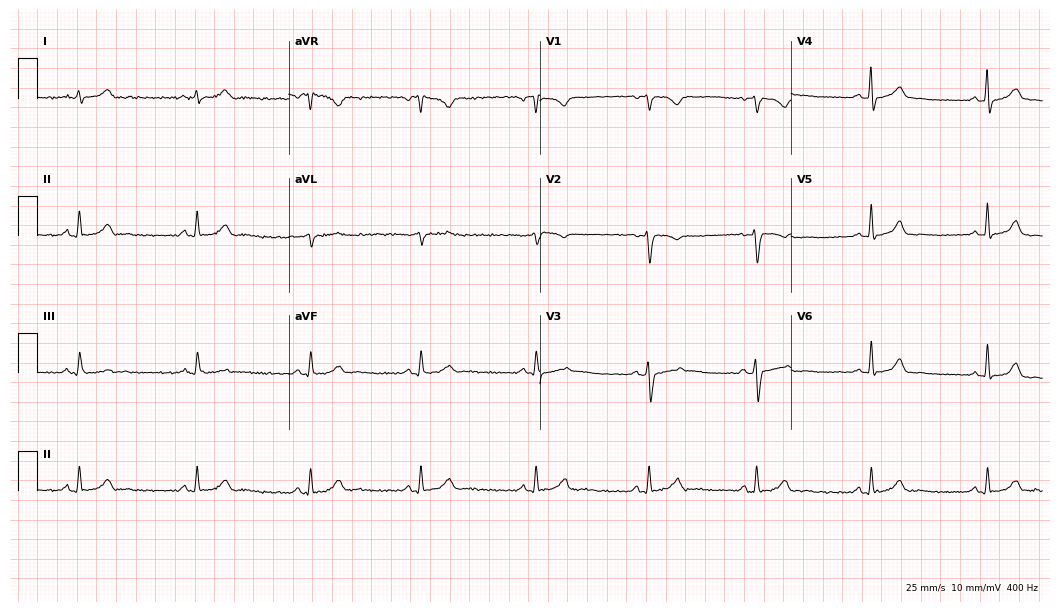
Standard 12-lead ECG recorded from a female patient, 25 years old. Read as a normal ECG.